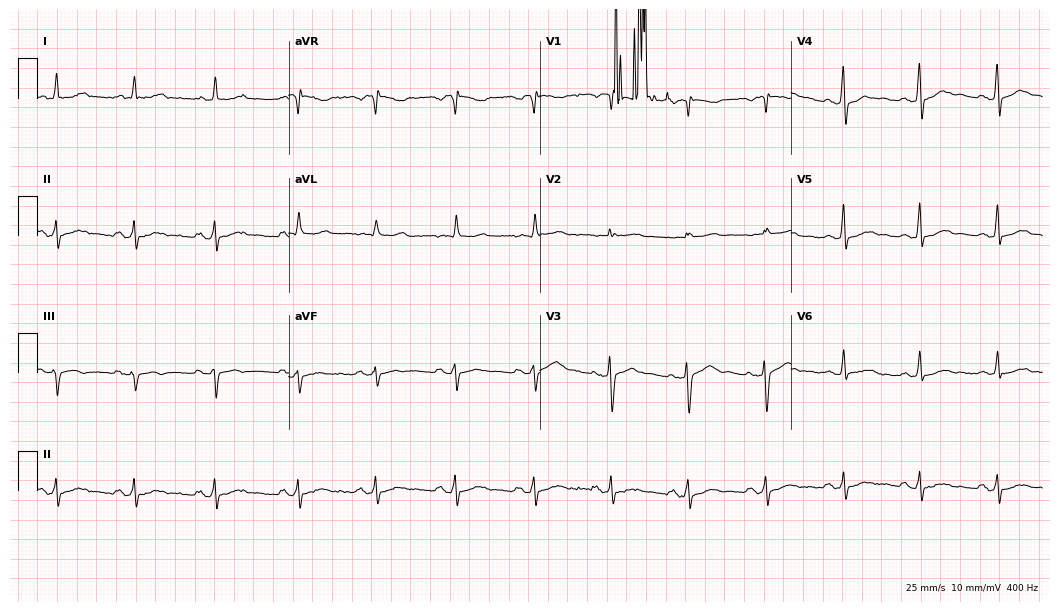
Resting 12-lead electrocardiogram (10.2-second recording at 400 Hz). Patient: a 55-year-old woman. None of these six findings is recorded: first-degree AV block, right bundle branch block, left bundle branch block, sinus bradycardia, atrial fibrillation, sinus tachycardia.